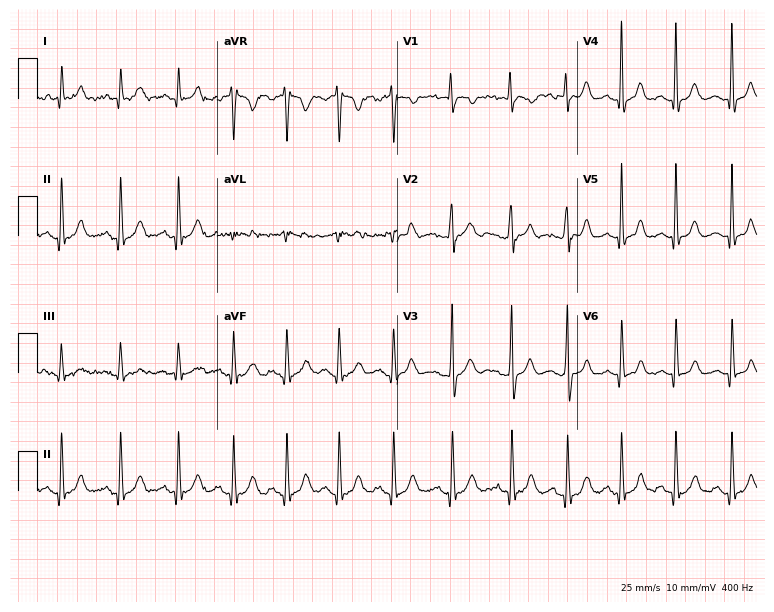
ECG (7.3-second recording at 400 Hz) — a female, 19 years old. Findings include sinus tachycardia (a sinus rate of 100 beats per minute or more).